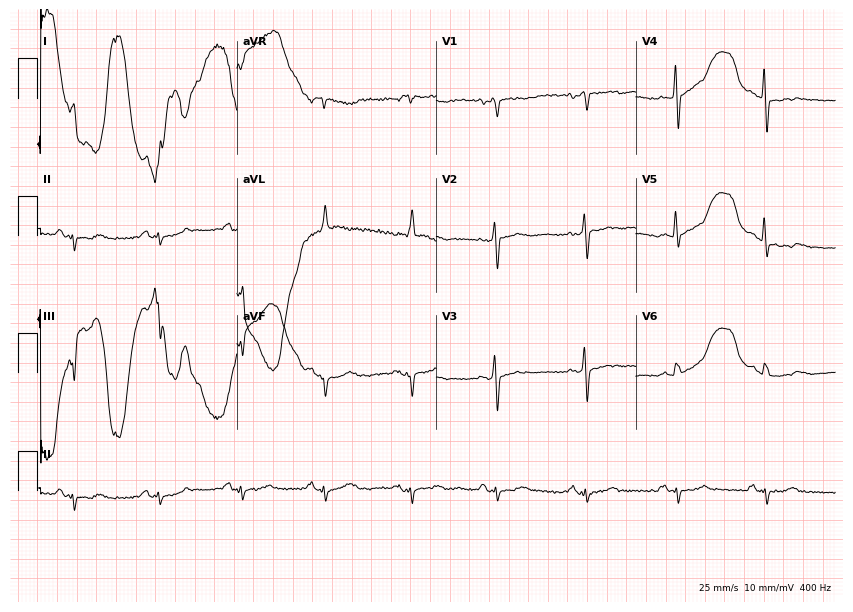
Resting 12-lead electrocardiogram. Patient: a male, 63 years old. None of these six findings is recorded: first-degree AV block, right bundle branch block, left bundle branch block, sinus bradycardia, atrial fibrillation, sinus tachycardia. Findings outside these six are not listed.